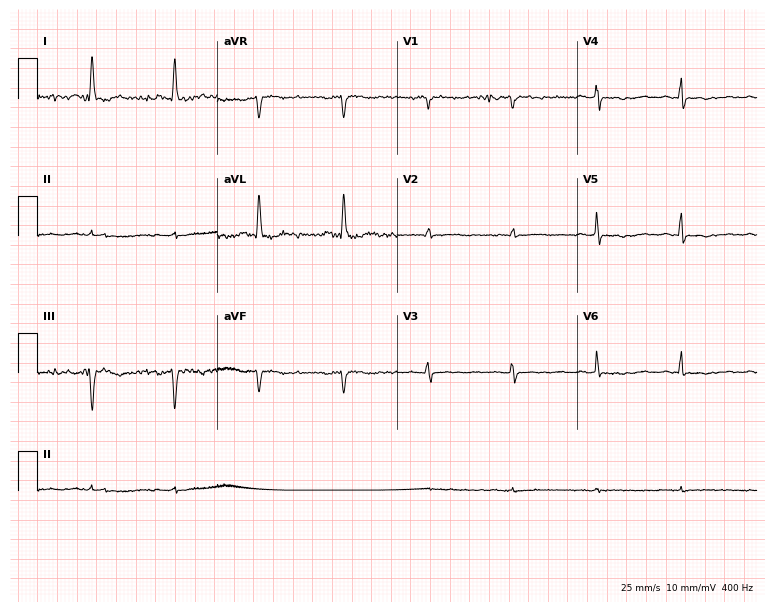
12-lead ECG from a 77-year-old female patient. No first-degree AV block, right bundle branch block (RBBB), left bundle branch block (LBBB), sinus bradycardia, atrial fibrillation (AF) or sinus tachycardia recorded for this tracing.